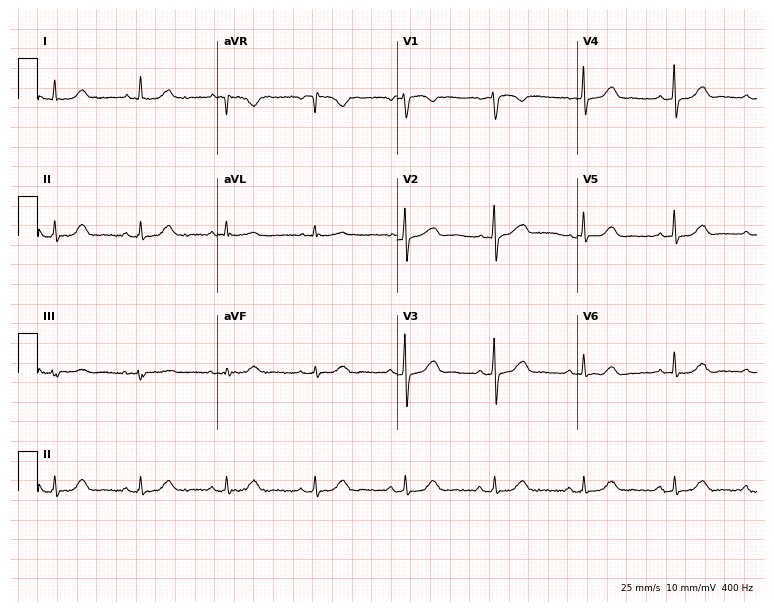
Electrocardiogram, a female patient, 67 years old. Overall reading on record: normal ECG.